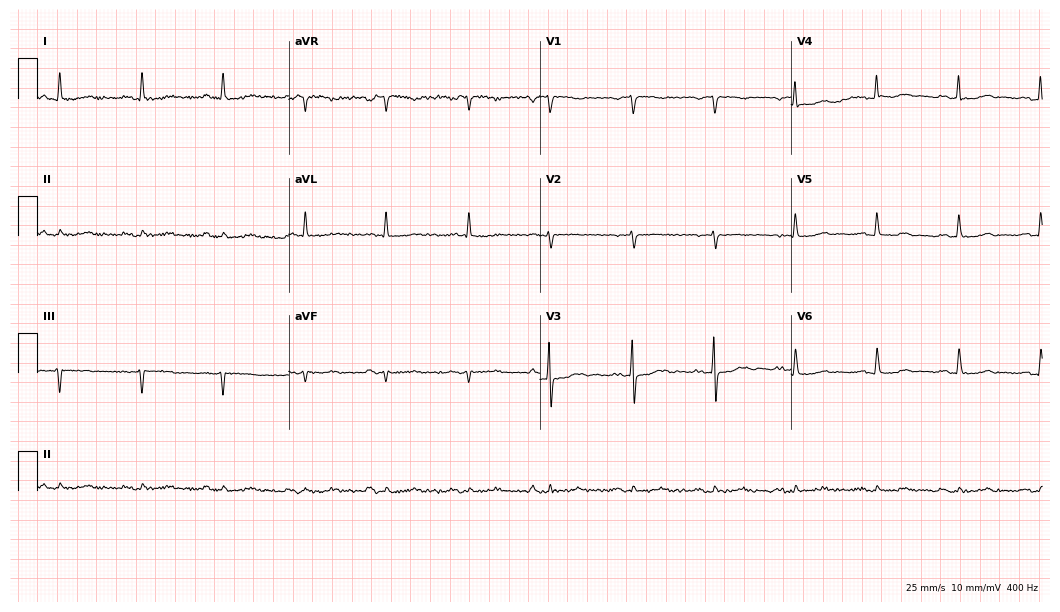
12-lead ECG from an 82-year-old female. Screened for six findings — first-degree AV block, right bundle branch block (RBBB), left bundle branch block (LBBB), sinus bradycardia, atrial fibrillation (AF), sinus tachycardia — none is recorded.